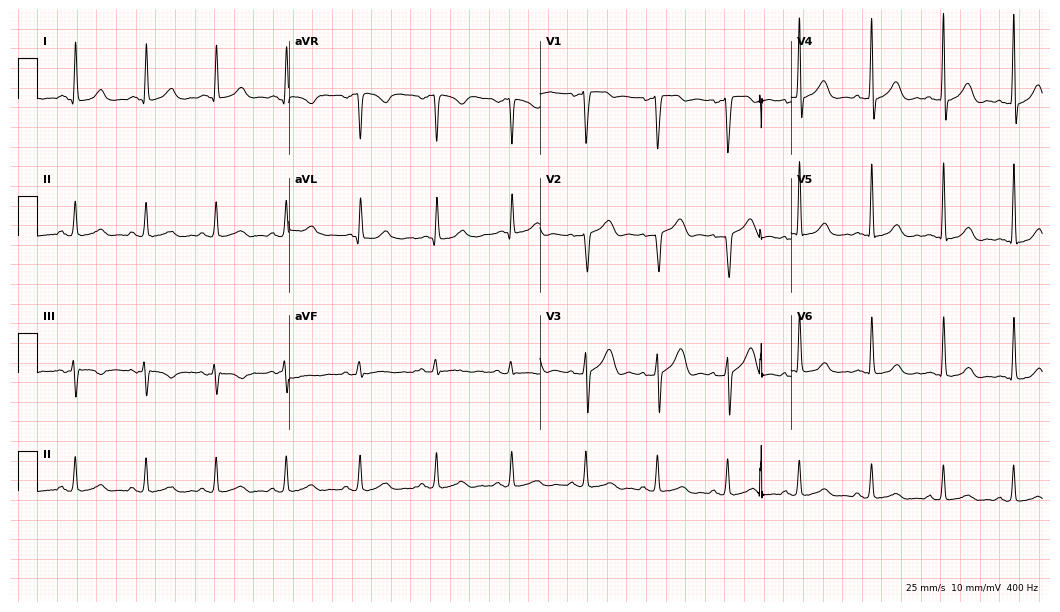
Electrocardiogram, a man, 33 years old. Of the six screened findings (first-degree AV block, right bundle branch block, left bundle branch block, sinus bradycardia, atrial fibrillation, sinus tachycardia), none is recorded. Other findings, if any, are not listed.